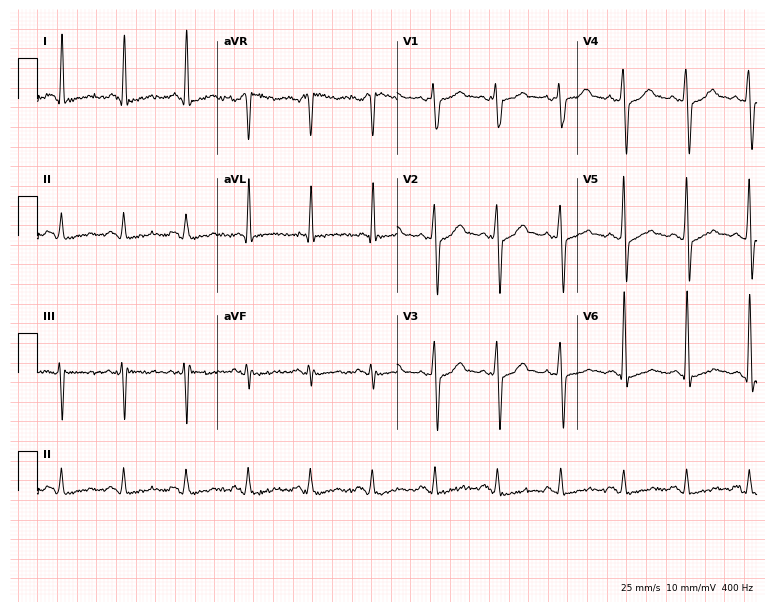
Resting 12-lead electrocardiogram (7.3-second recording at 400 Hz). Patient: a 50-year-old male. None of these six findings is recorded: first-degree AV block, right bundle branch block, left bundle branch block, sinus bradycardia, atrial fibrillation, sinus tachycardia. Only these six findings were labelled.